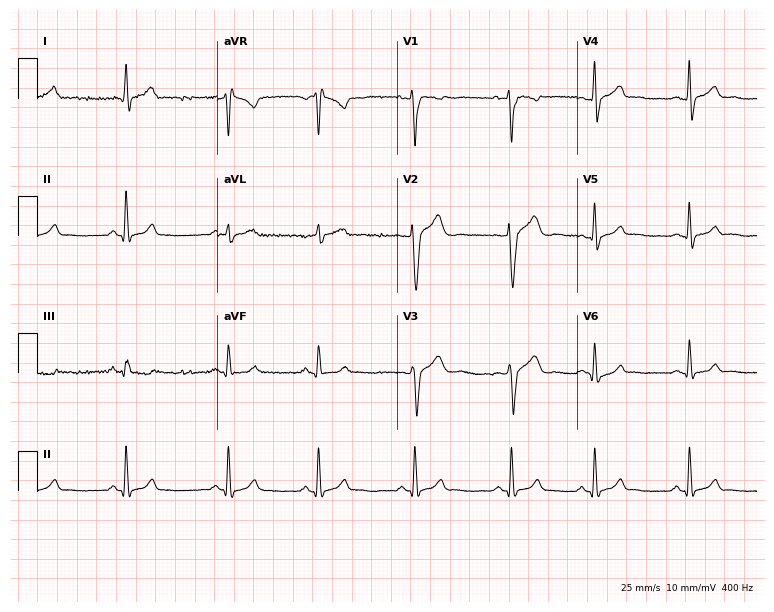
Standard 12-lead ECG recorded from a male patient, 18 years old. Read as a normal ECG.